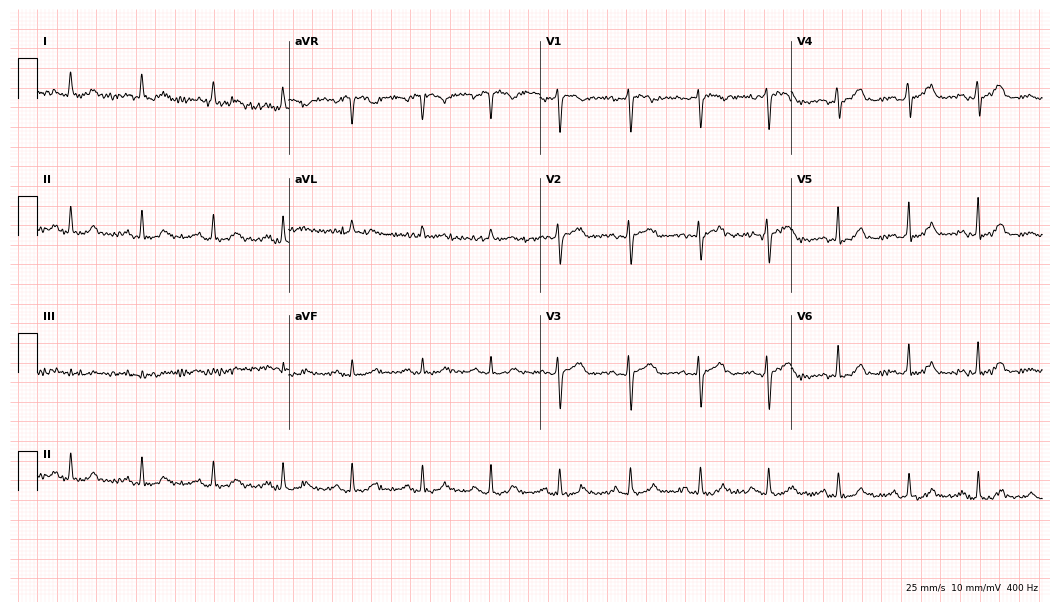
ECG (10.2-second recording at 400 Hz) — a woman, 55 years old. Labelled as a normal ECG.